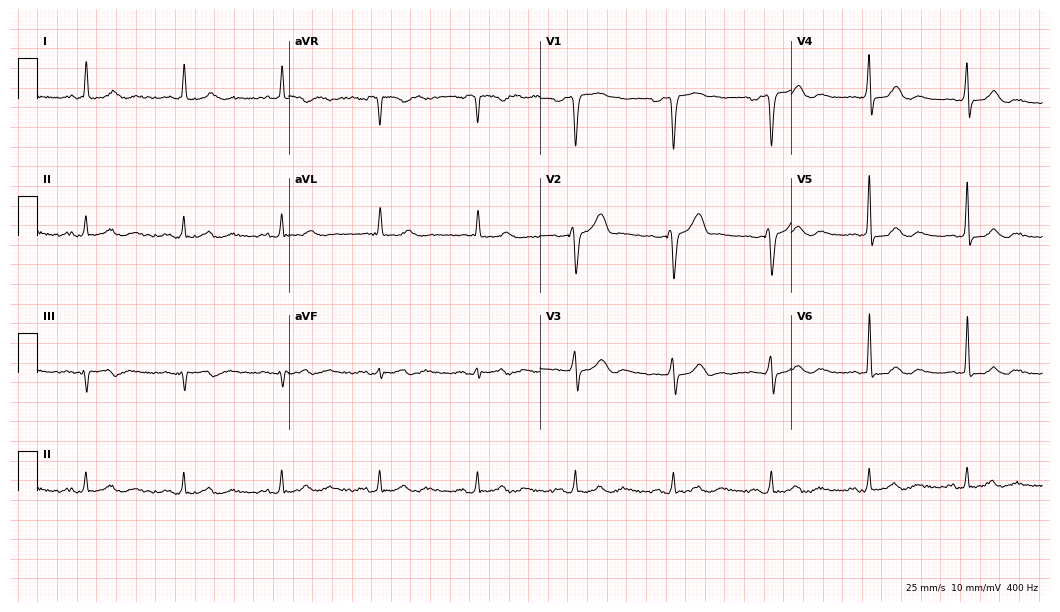
ECG — a 53-year-old man. Screened for six findings — first-degree AV block, right bundle branch block, left bundle branch block, sinus bradycardia, atrial fibrillation, sinus tachycardia — none is recorded. Only these six findings were labelled.